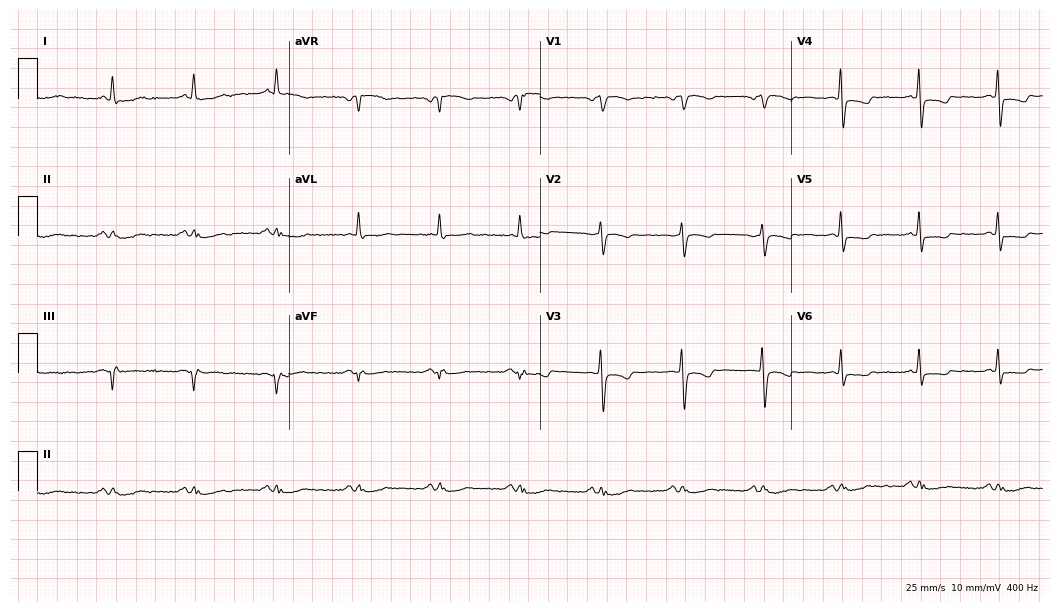
Standard 12-lead ECG recorded from a 48-year-old female (10.2-second recording at 400 Hz). None of these six findings is recorded: first-degree AV block, right bundle branch block (RBBB), left bundle branch block (LBBB), sinus bradycardia, atrial fibrillation (AF), sinus tachycardia.